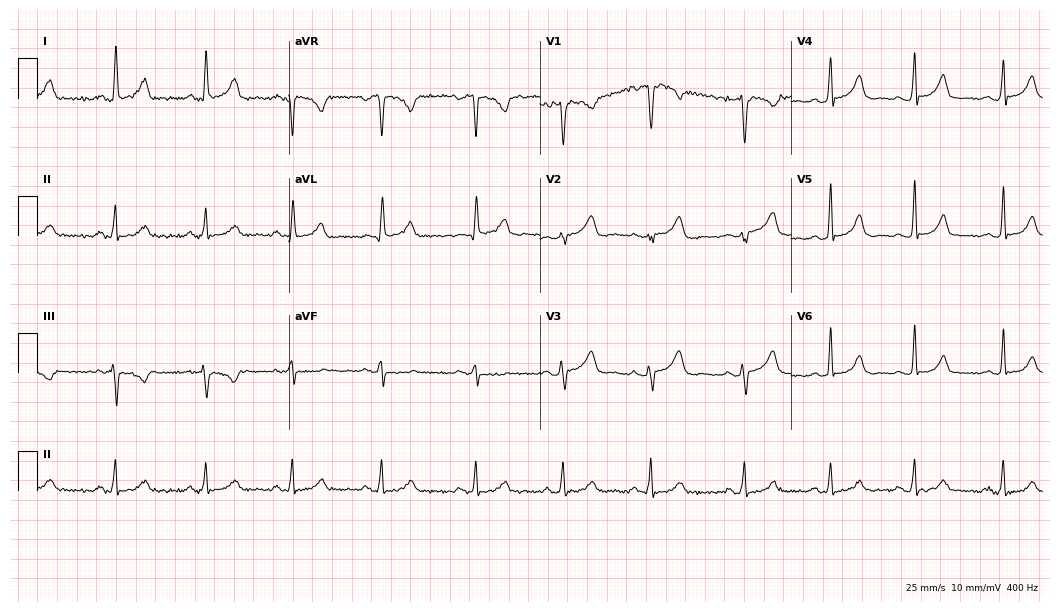
12-lead ECG from a 32-year-old female (10.2-second recording at 400 Hz). Recorded interpretation: within normal limits.